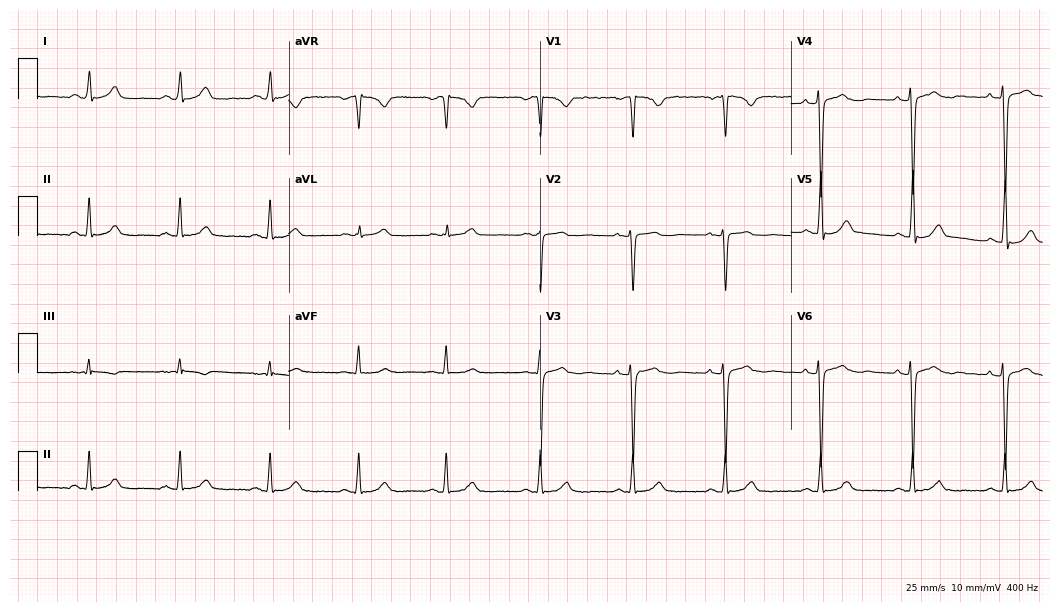
Electrocardiogram (10.2-second recording at 400 Hz), a woman, 36 years old. Of the six screened findings (first-degree AV block, right bundle branch block, left bundle branch block, sinus bradycardia, atrial fibrillation, sinus tachycardia), none is recorded.